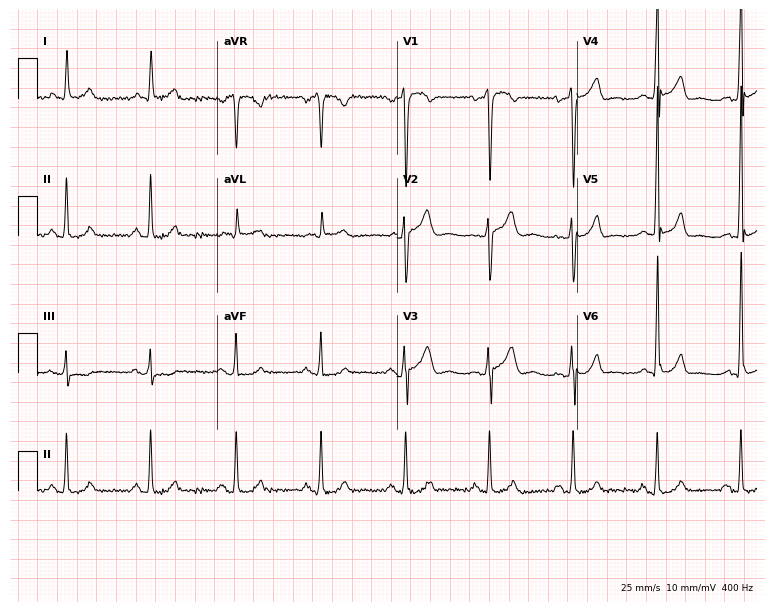
12-lead ECG from a male patient, 49 years old. No first-degree AV block, right bundle branch block (RBBB), left bundle branch block (LBBB), sinus bradycardia, atrial fibrillation (AF) or sinus tachycardia recorded for this tracing. Only these six findings were labelled.